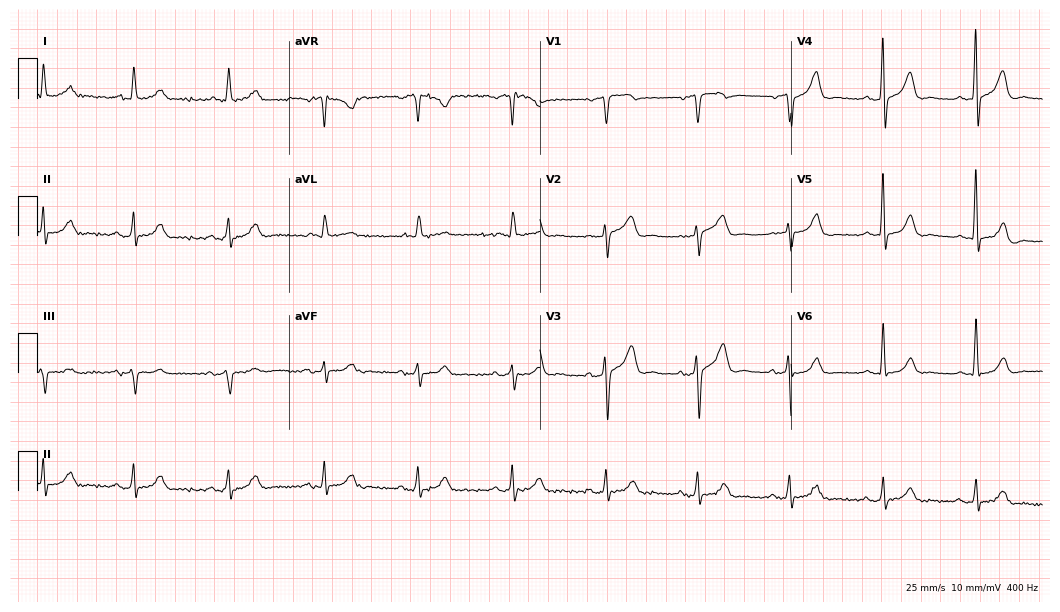
ECG (10.2-second recording at 400 Hz) — an 85-year-old male. Screened for six findings — first-degree AV block, right bundle branch block, left bundle branch block, sinus bradycardia, atrial fibrillation, sinus tachycardia — none is recorded. Findings outside these six are not listed.